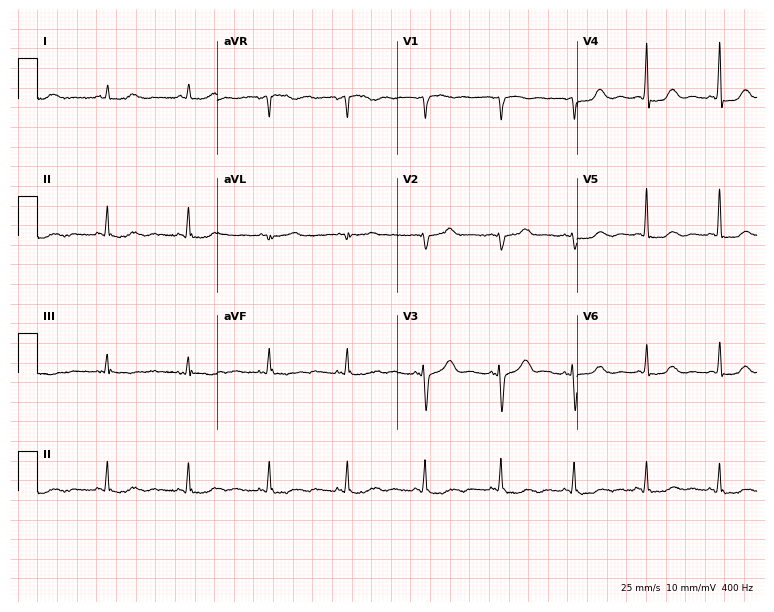
12-lead ECG (7.3-second recording at 400 Hz) from a 60-year-old female. Screened for six findings — first-degree AV block, right bundle branch block (RBBB), left bundle branch block (LBBB), sinus bradycardia, atrial fibrillation (AF), sinus tachycardia — none is recorded. Findings outside these six are not listed.